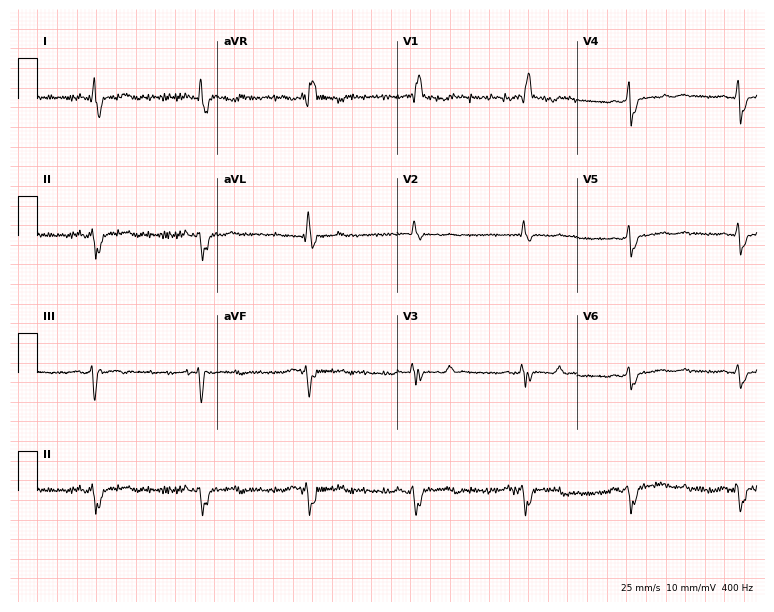
Resting 12-lead electrocardiogram (7.3-second recording at 400 Hz). Patient: a 59-year-old female. The tracing shows right bundle branch block (RBBB).